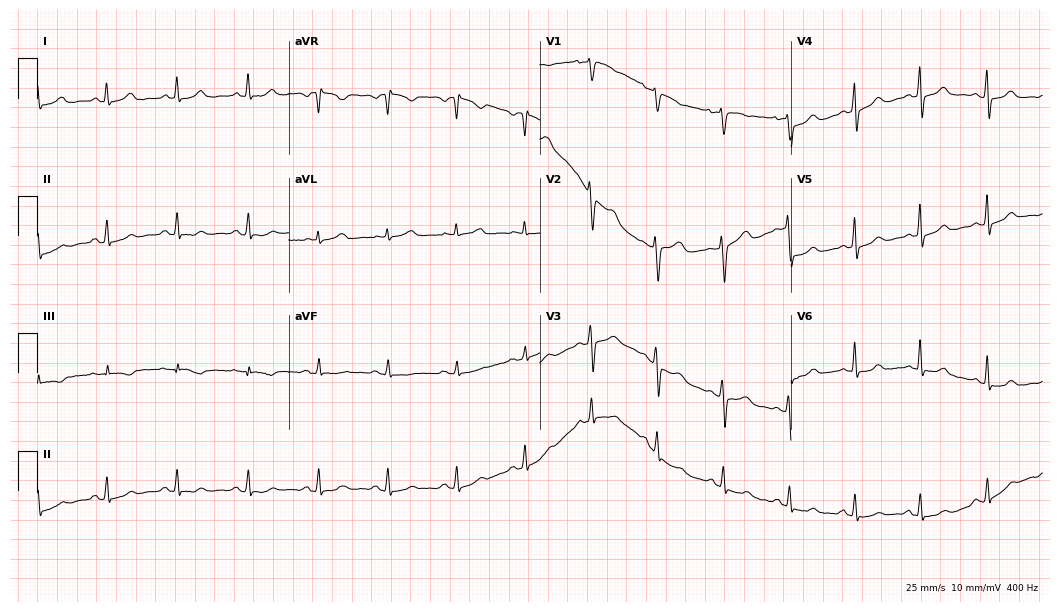
Standard 12-lead ECG recorded from a female, 58 years old (10.2-second recording at 400 Hz). Read as a normal ECG.